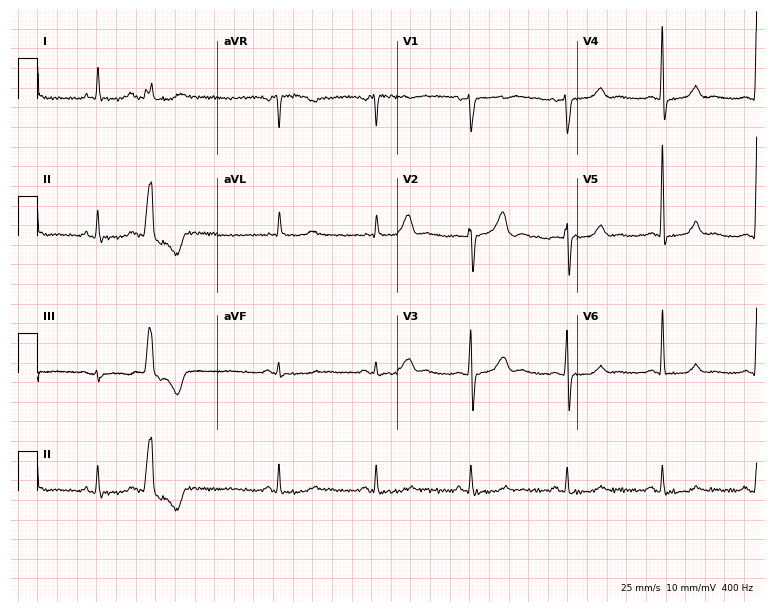
12-lead ECG (7.3-second recording at 400 Hz) from a 76-year-old female patient. Screened for six findings — first-degree AV block, right bundle branch block, left bundle branch block, sinus bradycardia, atrial fibrillation, sinus tachycardia — none is recorded.